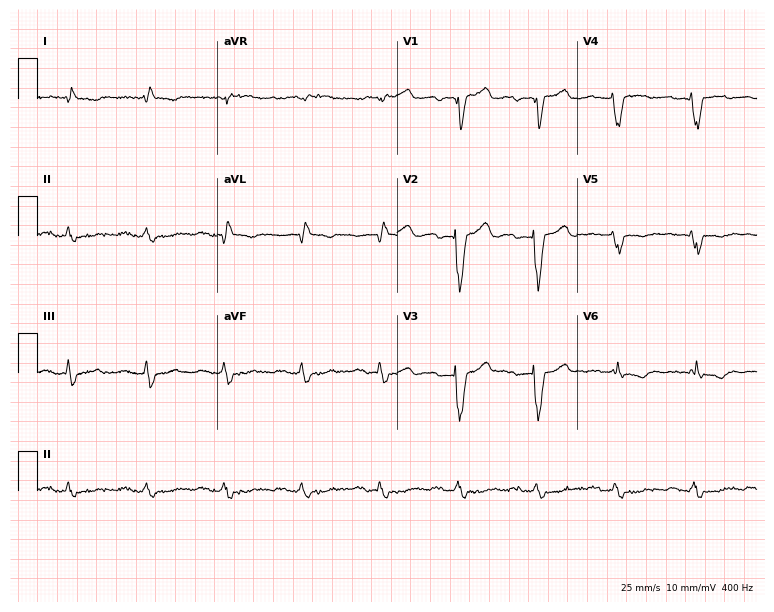
12-lead ECG from a man, 68 years old. Findings include first-degree AV block, left bundle branch block.